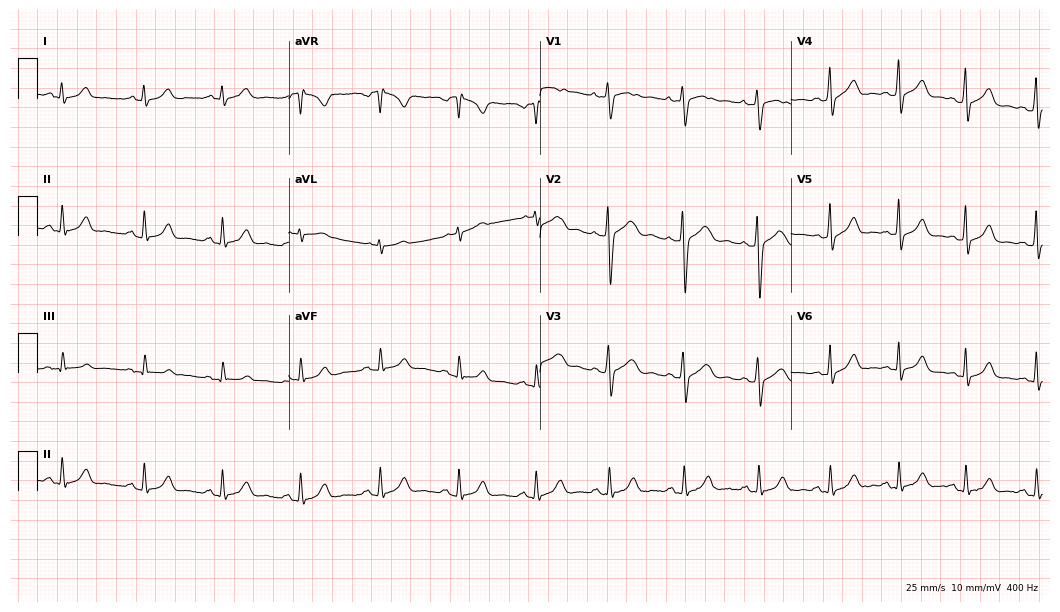
ECG — a 24-year-old female patient. Screened for six findings — first-degree AV block, right bundle branch block, left bundle branch block, sinus bradycardia, atrial fibrillation, sinus tachycardia — none is recorded.